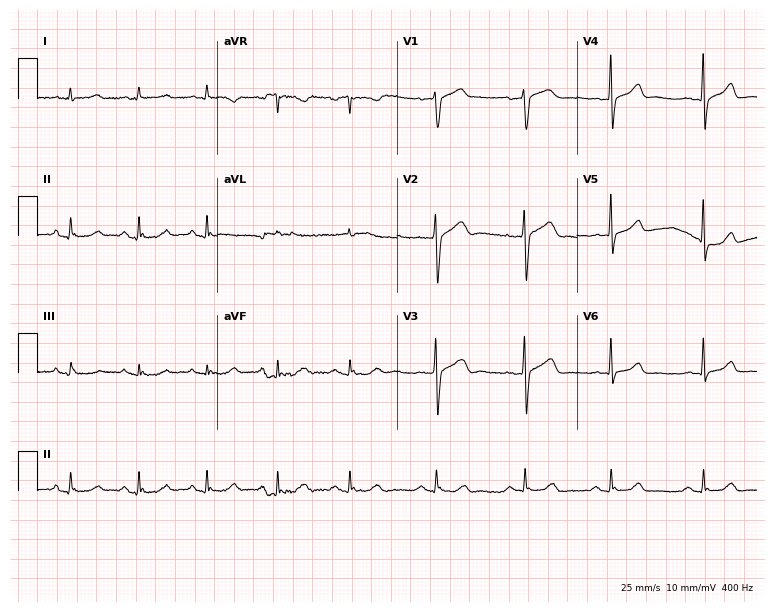
12-lead ECG from a man, 49 years old (7.3-second recording at 400 Hz). Recorded interpretation: within normal limits.